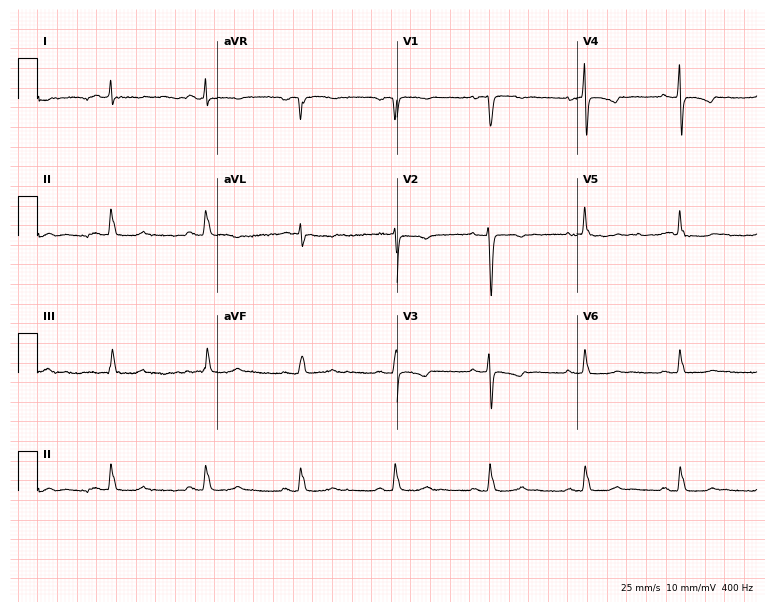
ECG — a woman, 61 years old. Screened for six findings — first-degree AV block, right bundle branch block (RBBB), left bundle branch block (LBBB), sinus bradycardia, atrial fibrillation (AF), sinus tachycardia — none is recorded.